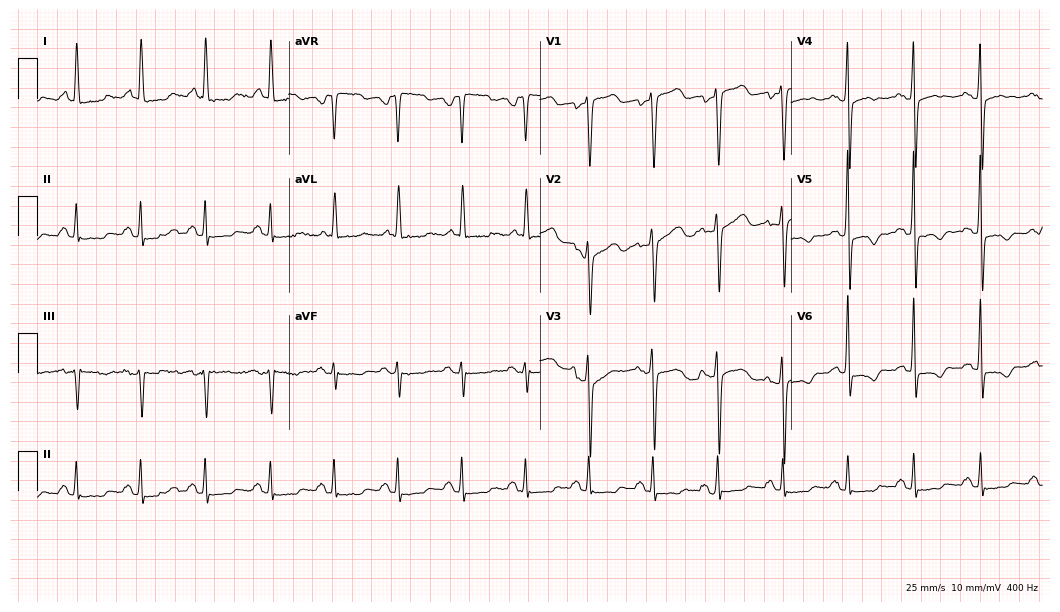
Standard 12-lead ECG recorded from a female patient, 56 years old. None of these six findings is recorded: first-degree AV block, right bundle branch block, left bundle branch block, sinus bradycardia, atrial fibrillation, sinus tachycardia. Other findings, if any, are not listed.